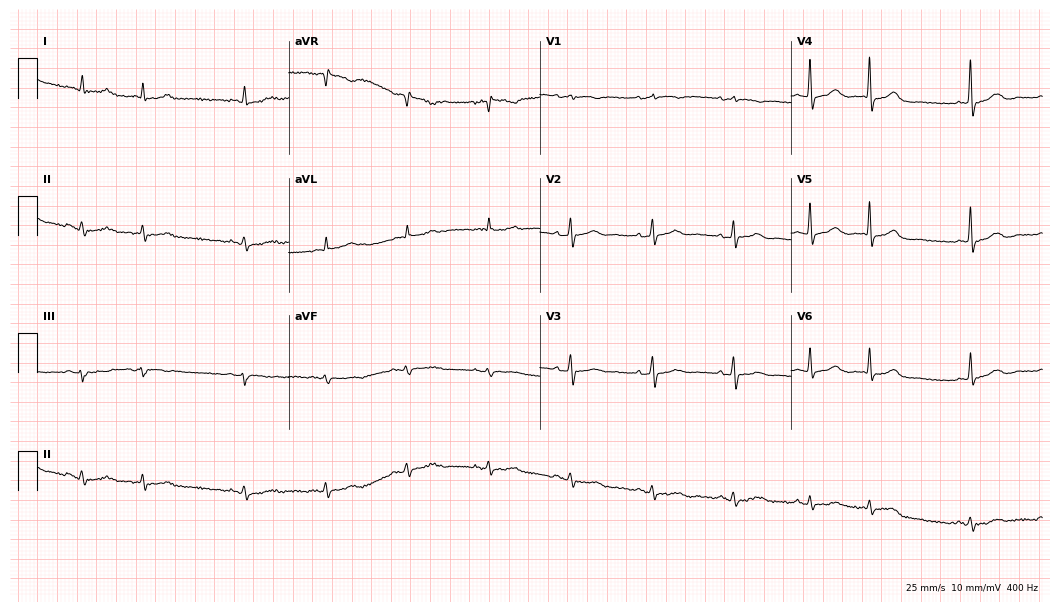
Resting 12-lead electrocardiogram. Patient: a woman, 84 years old. None of these six findings is recorded: first-degree AV block, right bundle branch block (RBBB), left bundle branch block (LBBB), sinus bradycardia, atrial fibrillation (AF), sinus tachycardia. Findings outside these six are not listed.